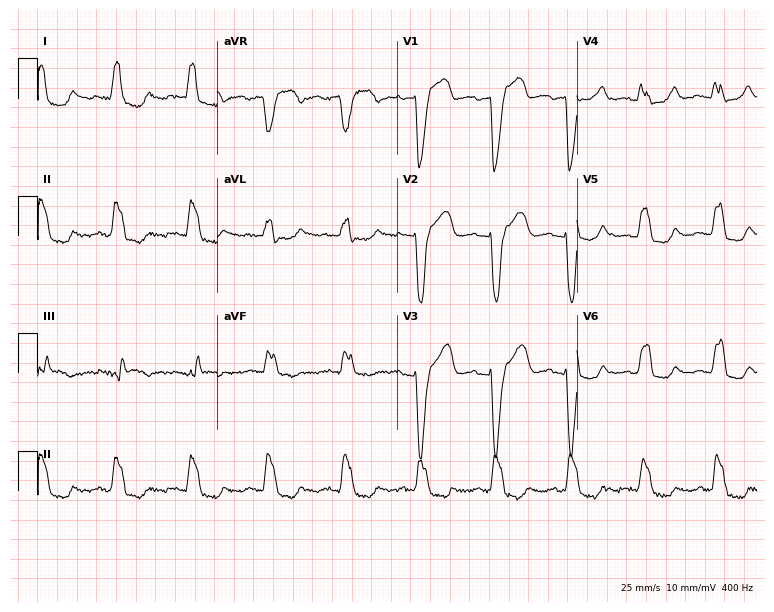
Standard 12-lead ECG recorded from a woman, 61 years old (7.3-second recording at 400 Hz). The tracing shows left bundle branch block (LBBB).